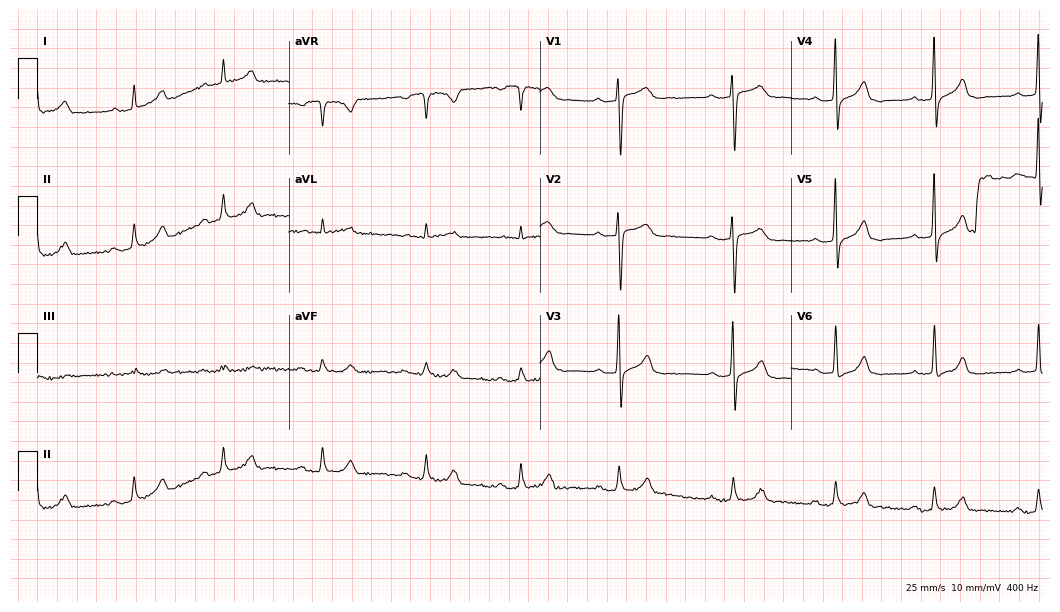
12-lead ECG from a 40-year-old female. Shows first-degree AV block.